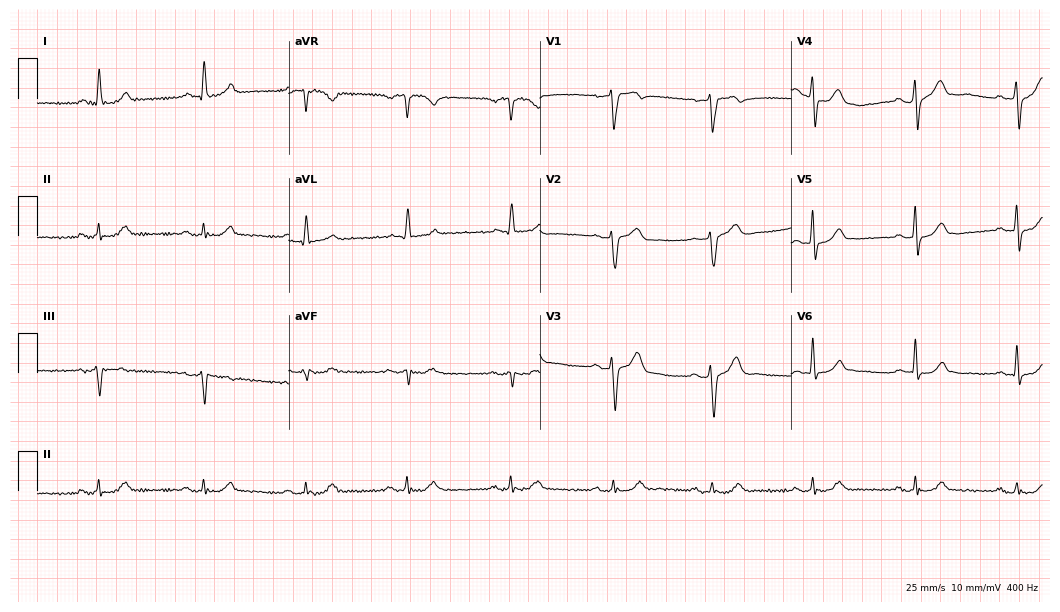
ECG — a 68-year-old male patient. Labelled as a normal ECG.